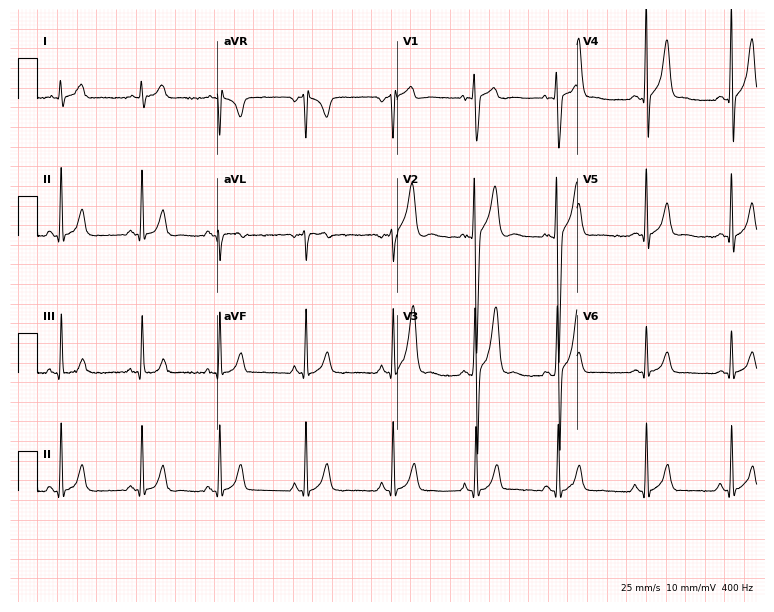
Standard 12-lead ECG recorded from an 18-year-old male patient (7.3-second recording at 400 Hz). Read as a normal ECG.